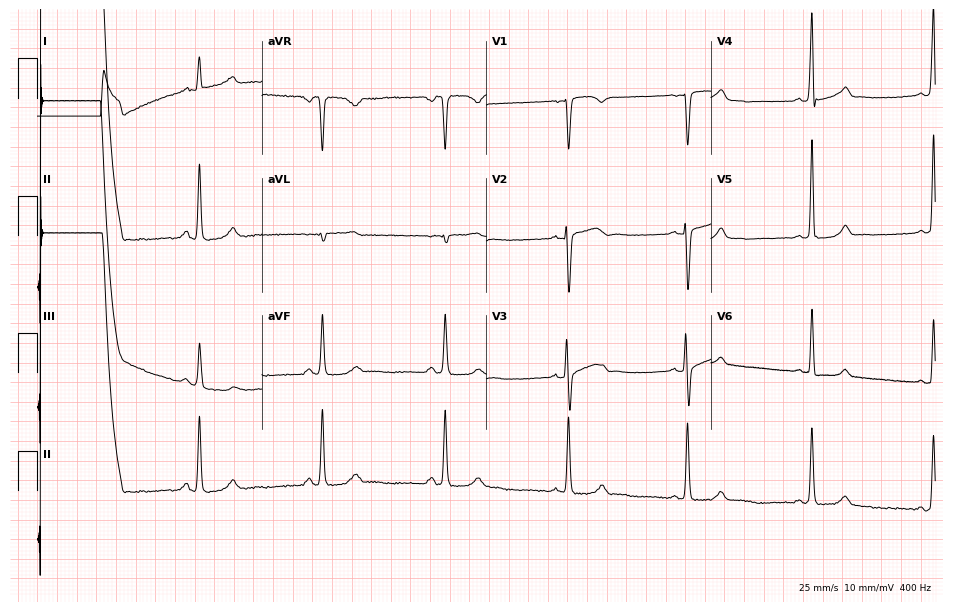
ECG (9.2-second recording at 400 Hz) — a 39-year-old female. Screened for six findings — first-degree AV block, right bundle branch block, left bundle branch block, sinus bradycardia, atrial fibrillation, sinus tachycardia — none is recorded. Only these six findings were labelled.